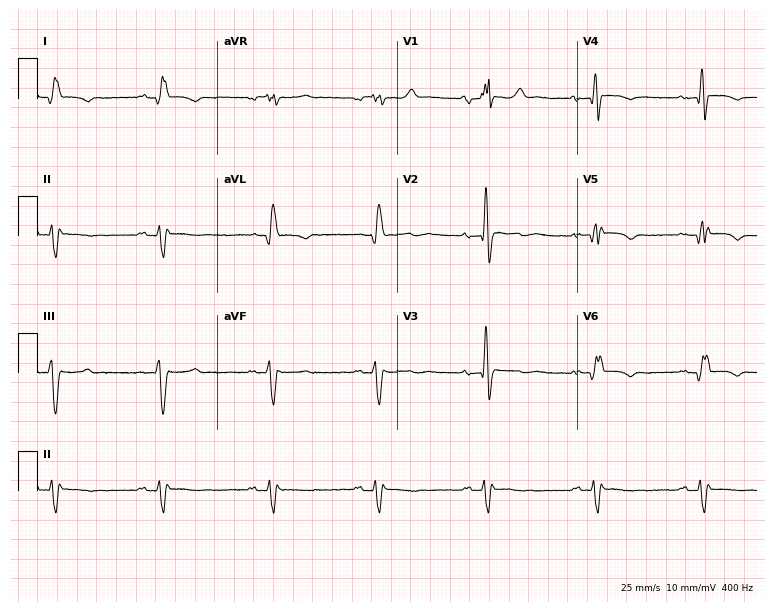
ECG (7.3-second recording at 400 Hz) — a woman, 49 years old. Findings include right bundle branch block.